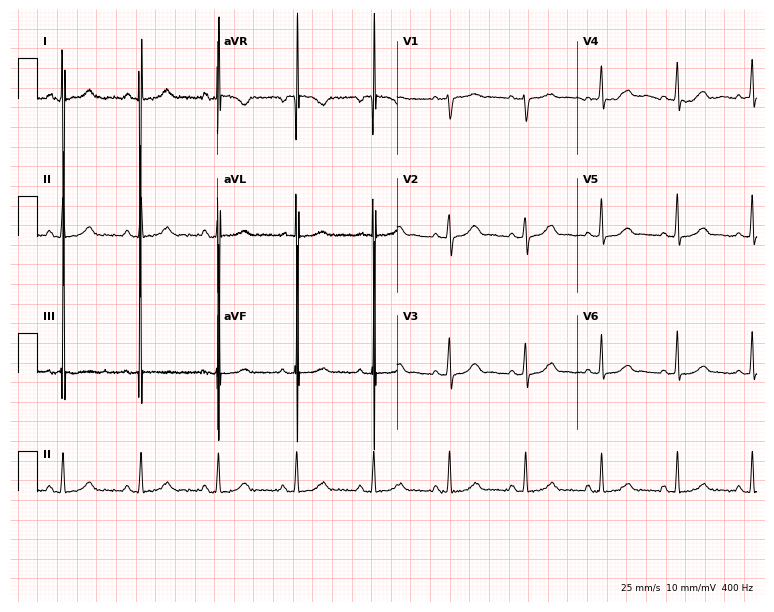
ECG — a female, 46 years old. Labelled as a normal ECG.